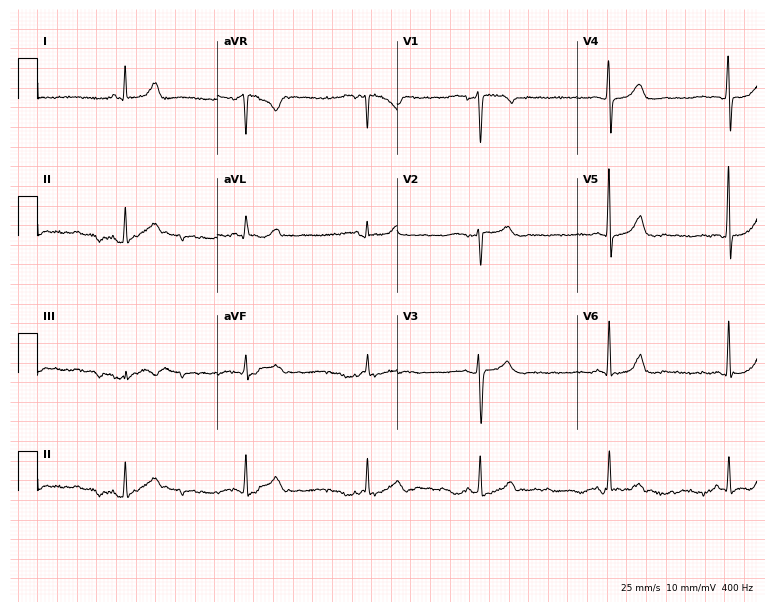
12-lead ECG (7.3-second recording at 400 Hz) from a female patient, 39 years old. Findings include sinus bradycardia (a sinus rate of 50 beats per minute or less).